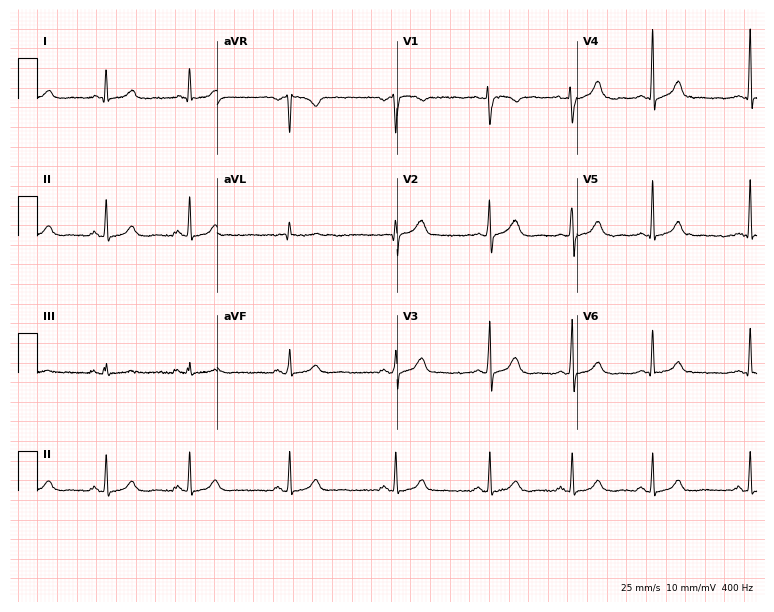
Standard 12-lead ECG recorded from a 38-year-old woman. Read as a normal ECG.